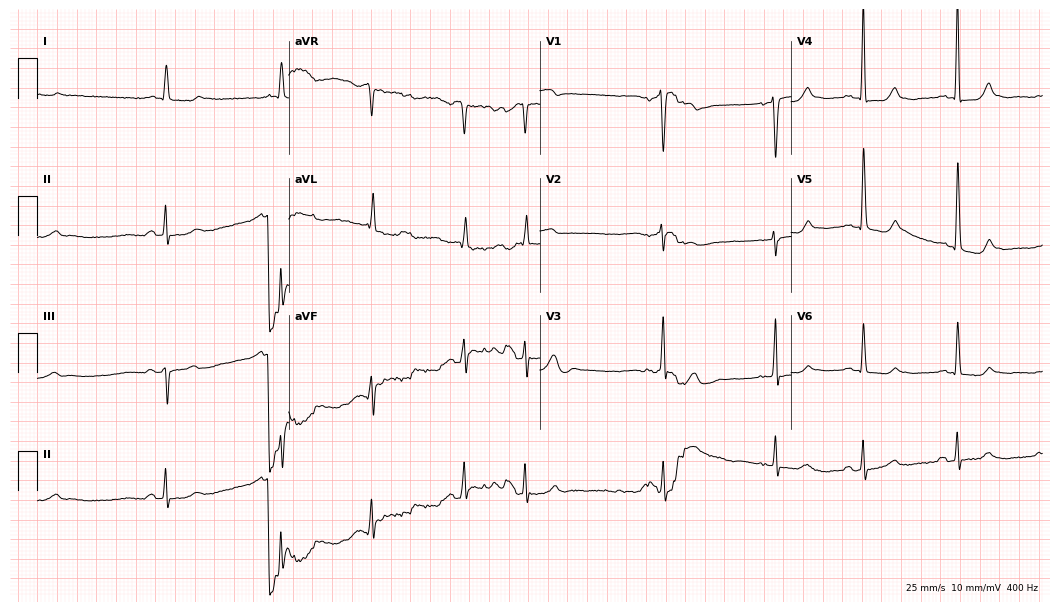
Standard 12-lead ECG recorded from an 84-year-old female (10.2-second recording at 400 Hz). None of these six findings is recorded: first-degree AV block, right bundle branch block (RBBB), left bundle branch block (LBBB), sinus bradycardia, atrial fibrillation (AF), sinus tachycardia. Other findings, if any, are not listed.